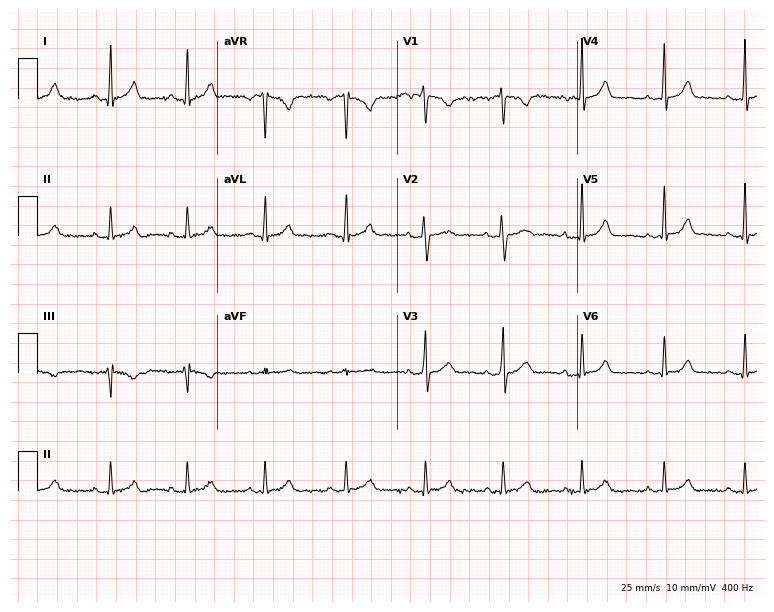
Electrocardiogram, a female, 27 years old. Overall reading on record: normal ECG.